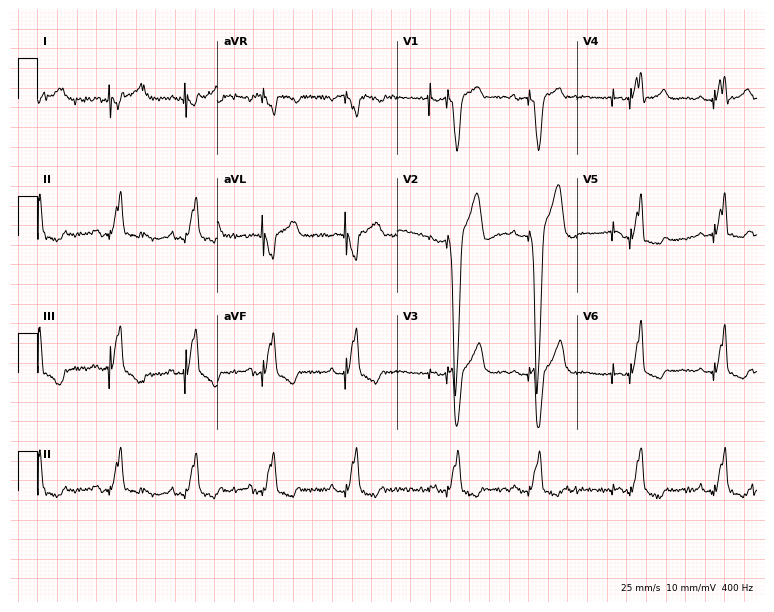
Resting 12-lead electrocardiogram. Patient: a man, 84 years old. None of these six findings is recorded: first-degree AV block, right bundle branch block, left bundle branch block, sinus bradycardia, atrial fibrillation, sinus tachycardia. Only these six findings were labelled.